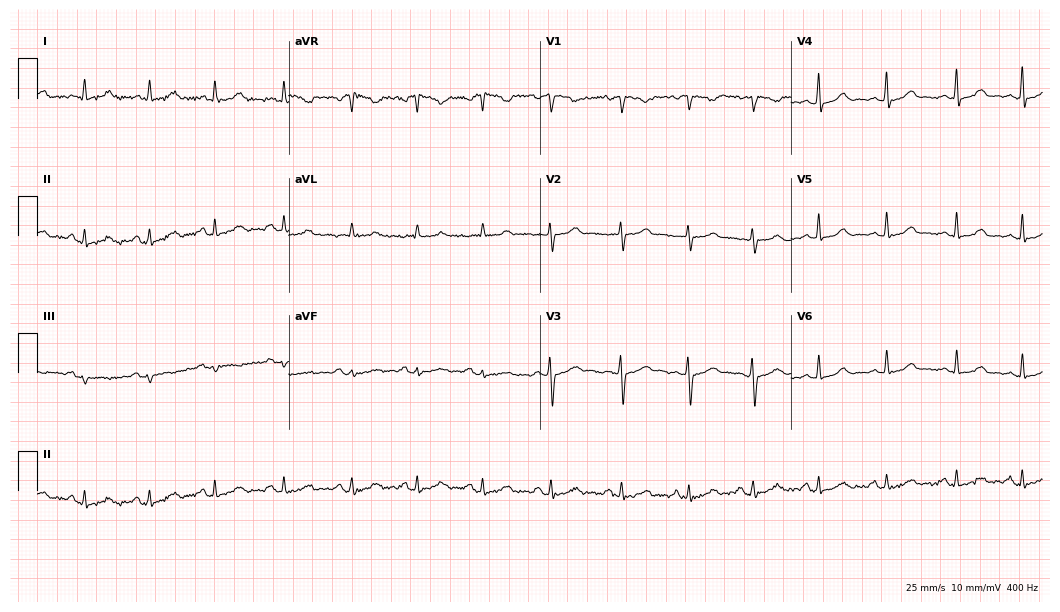
Resting 12-lead electrocardiogram. Patient: a 26-year-old woman. None of these six findings is recorded: first-degree AV block, right bundle branch block, left bundle branch block, sinus bradycardia, atrial fibrillation, sinus tachycardia.